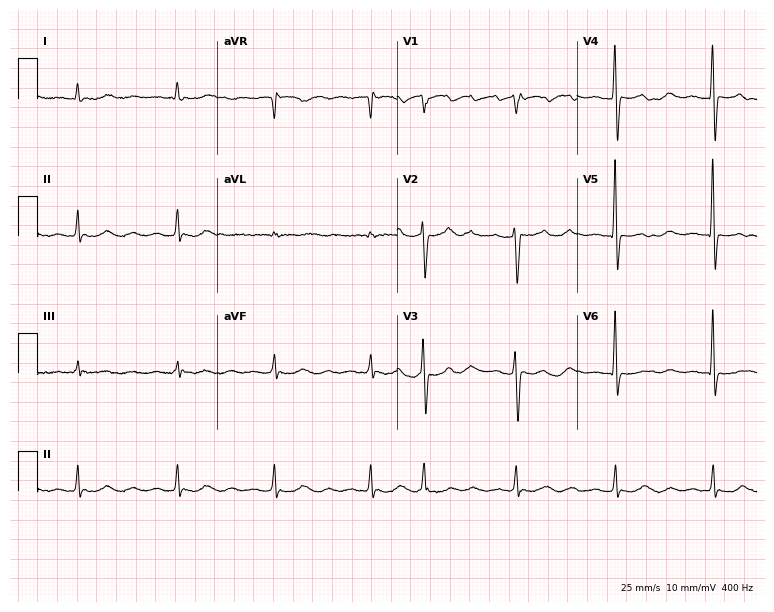
ECG — a 79-year-old female. Findings include atrial fibrillation.